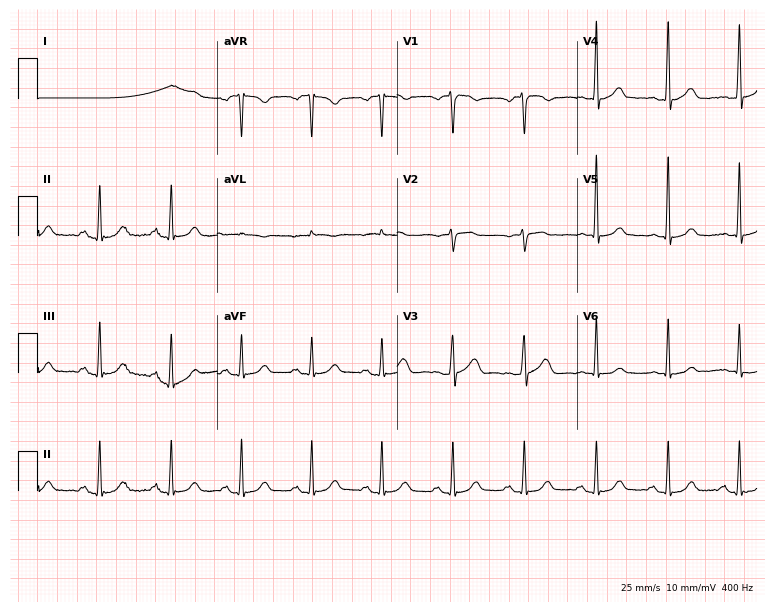
12-lead ECG from a male patient, 74 years old (7.3-second recording at 400 Hz). No first-degree AV block, right bundle branch block (RBBB), left bundle branch block (LBBB), sinus bradycardia, atrial fibrillation (AF) or sinus tachycardia recorded for this tracing.